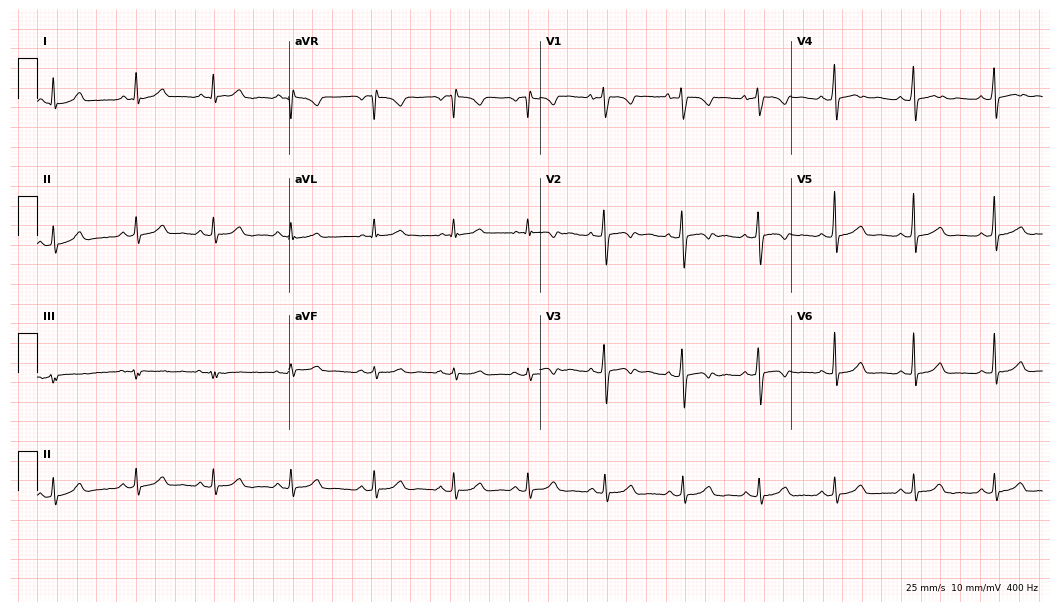
Resting 12-lead electrocardiogram. Patient: a 24-year-old female. Read as a normal ECG.